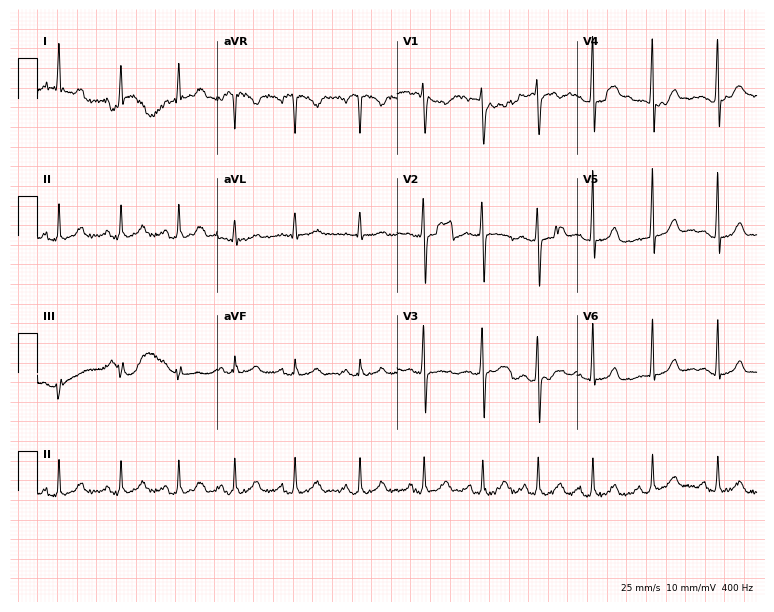
Standard 12-lead ECG recorded from an 18-year-old female patient. None of these six findings is recorded: first-degree AV block, right bundle branch block (RBBB), left bundle branch block (LBBB), sinus bradycardia, atrial fibrillation (AF), sinus tachycardia. Findings outside these six are not listed.